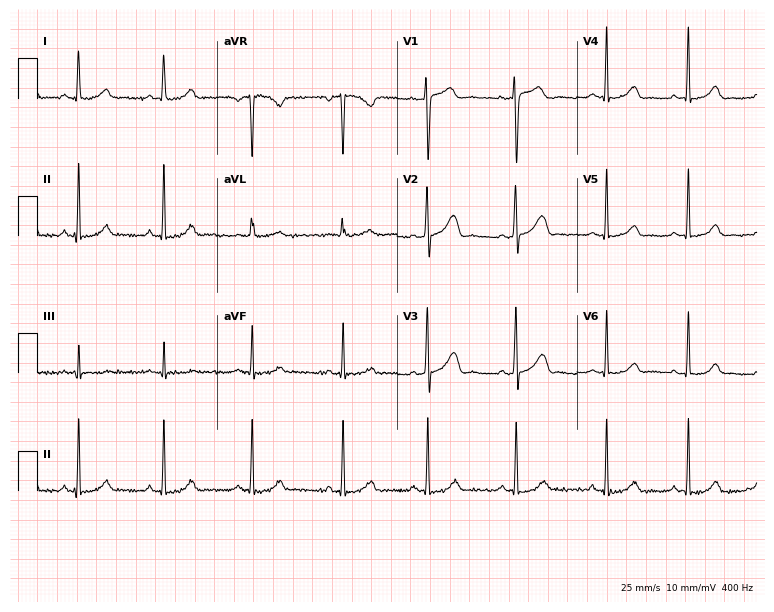
ECG (7.3-second recording at 400 Hz) — a female patient, 31 years old. Labelled as a normal ECG.